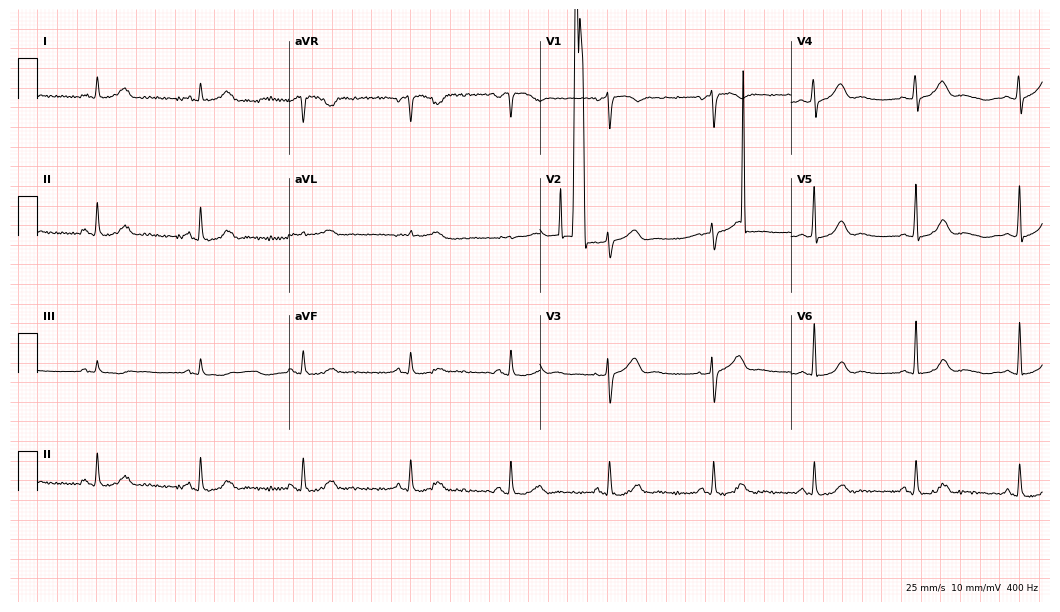
12-lead ECG from a female patient, 46 years old. No first-degree AV block, right bundle branch block, left bundle branch block, sinus bradycardia, atrial fibrillation or sinus tachycardia recorded for this tracing.